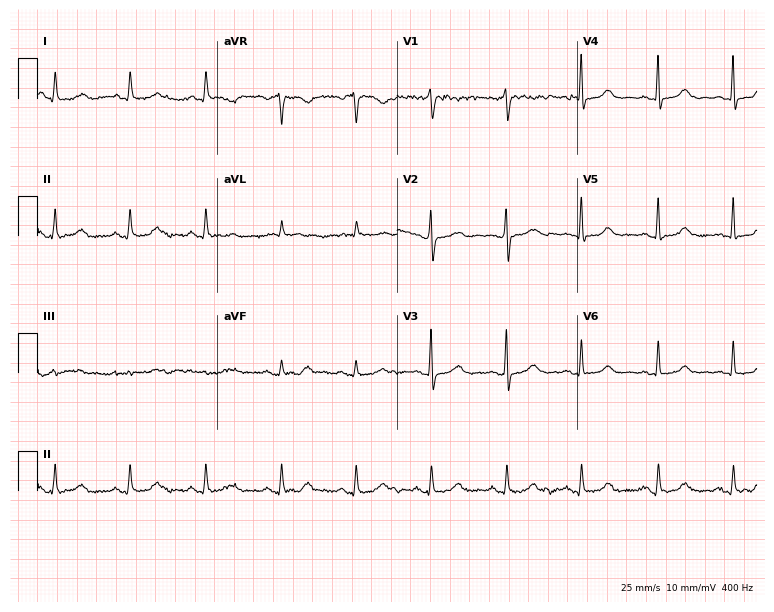
Resting 12-lead electrocardiogram (7.3-second recording at 400 Hz). Patient: a 53-year-old female. Read as a normal ECG.